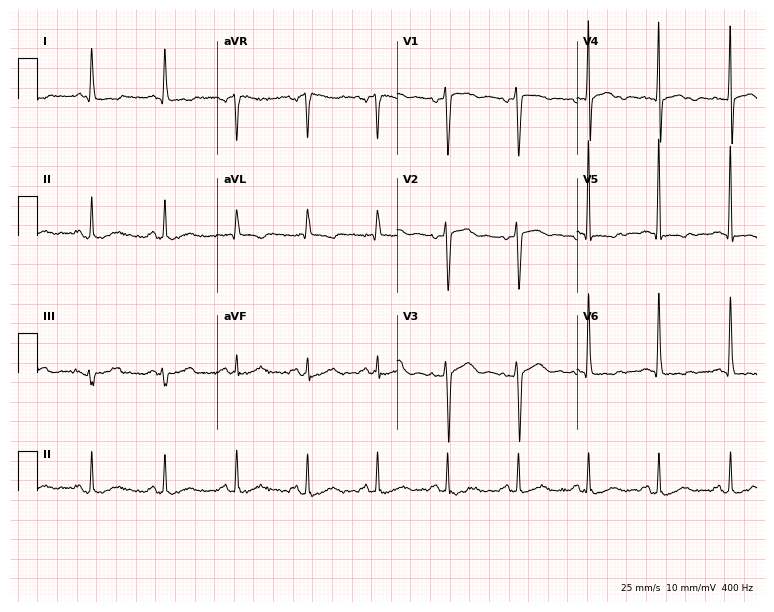
12-lead ECG from a 60-year-old male patient (7.3-second recording at 400 Hz). No first-degree AV block, right bundle branch block, left bundle branch block, sinus bradycardia, atrial fibrillation or sinus tachycardia recorded for this tracing.